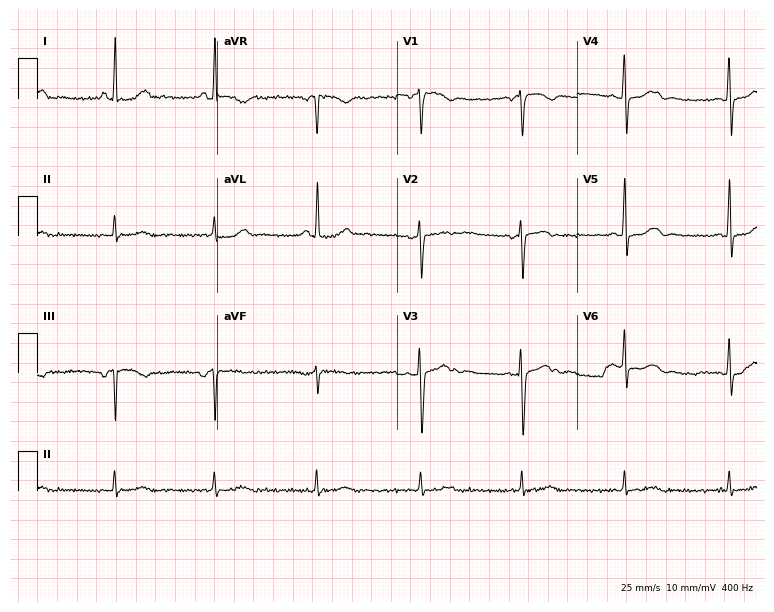
Standard 12-lead ECG recorded from a 38-year-old female patient. None of these six findings is recorded: first-degree AV block, right bundle branch block (RBBB), left bundle branch block (LBBB), sinus bradycardia, atrial fibrillation (AF), sinus tachycardia.